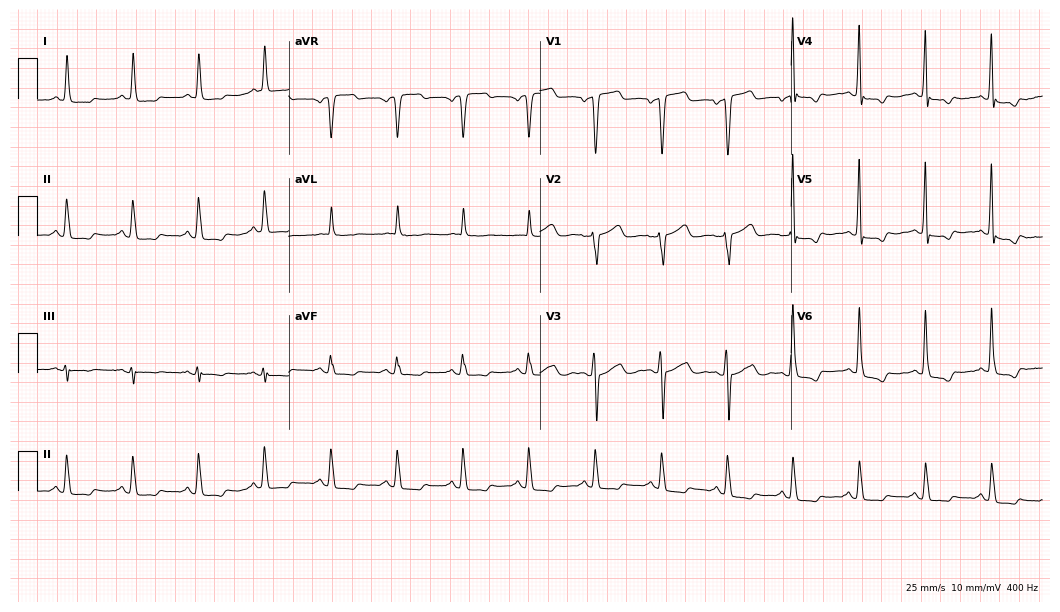
Standard 12-lead ECG recorded from a 65-year-old female. None of these six findings is recorded: first-degree AV block, right bundle branch block, left bundle branch block, sinus bradycardia, atrial fibrillation, sinus tachycardia. Other findings, if any, are not listed.